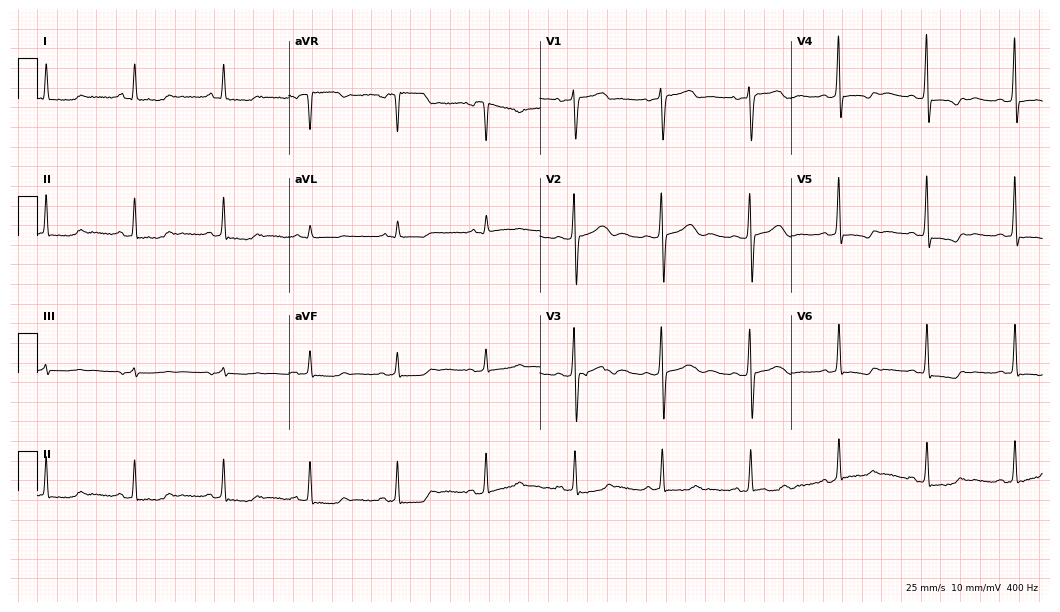
12-lead ECG from a woman, 61 years old. Screened for six findings — first-degree AV block, right bundle branch block, left bundle branch block, sinus bradycardia, atrial fibrillation, sinus tachycardia — none is recorded. Other findings, if any, are not listed.